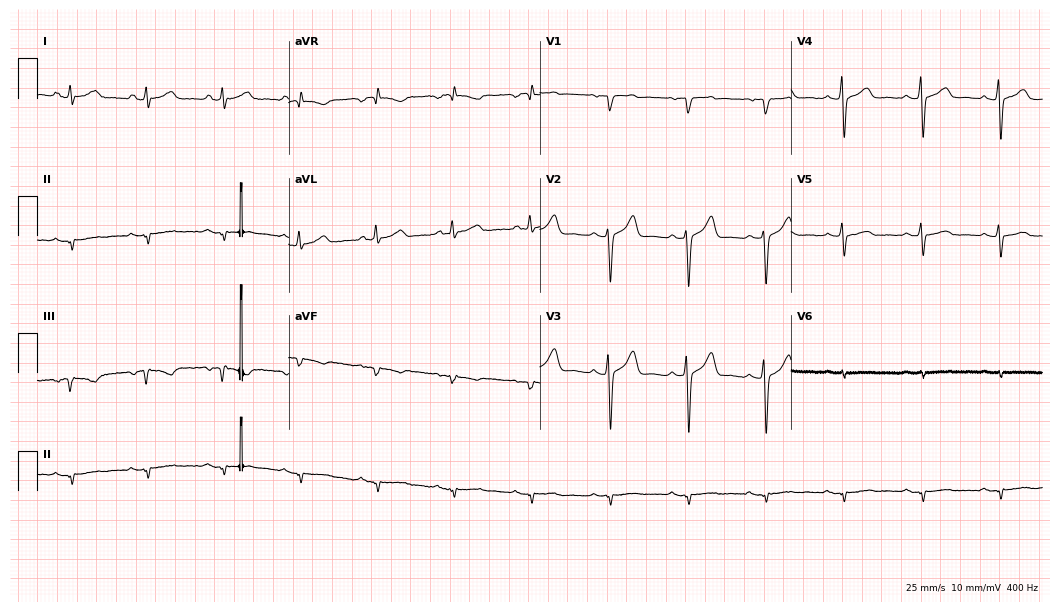
ECG (10.2-second recording at 400 Hz) — a man, 54 years old. Screened for six findings — first-degree AV block, right bundle branch block, left bundle branch block, sinus bradycardia, atrial fibrillation, sinus tachycardia — none is recorded. Only these six findings were labelled.